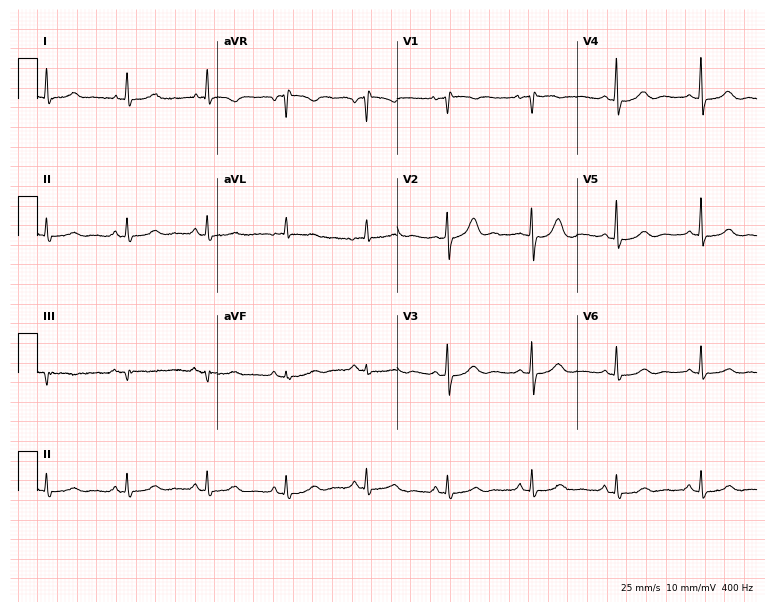
12-lead ECG from a woman, 53 years old. No first-degree AV block, right bundle branch block (RBBB), left bundle branch block (LBBB), sinus bradycardia, atrial fibrillation (AF) or sinus tachycardia recorded for this tracing.